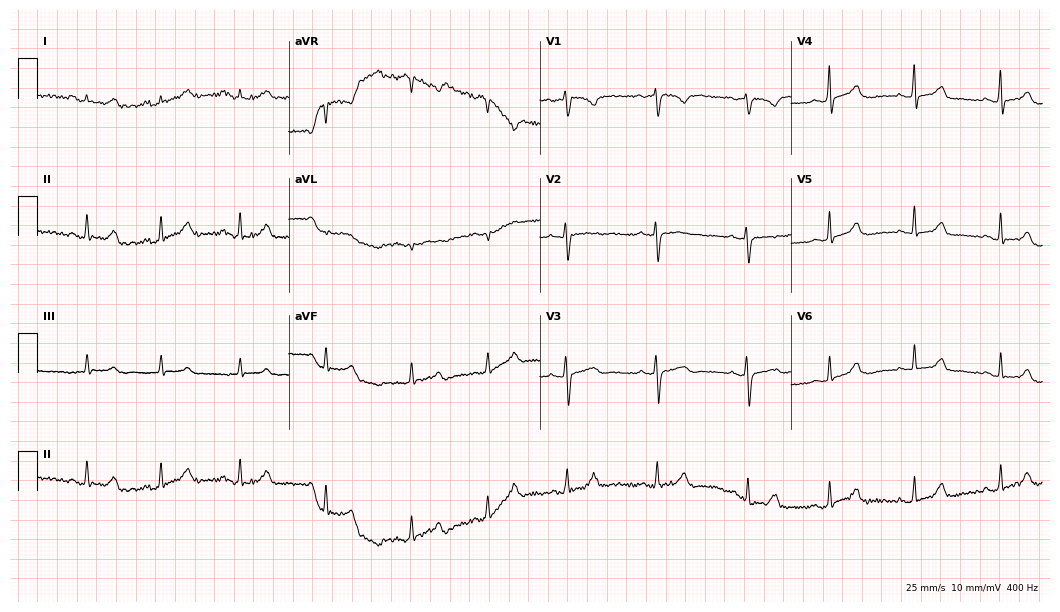
Electrocardiogram (10.2-second recording at 400 Hz), a female, 21 years old. Overall reading on record: normal ECG.